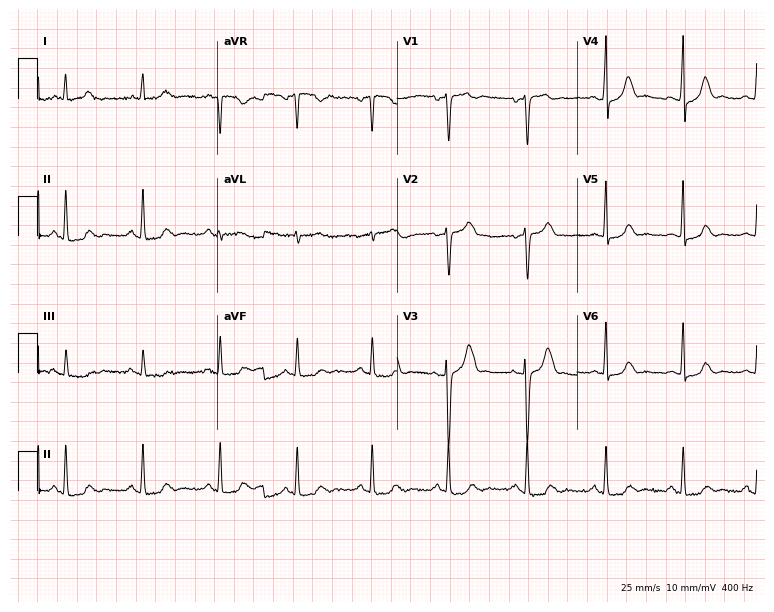
ECG — a 45-year-old female. Screened for six findings — first-degree AV block, right bundle branch block (RBBB), left bundle branch block (LBBB), sinus bradycardia, atrial fibrillation (AF), sinus tachycardia — none is recorded.